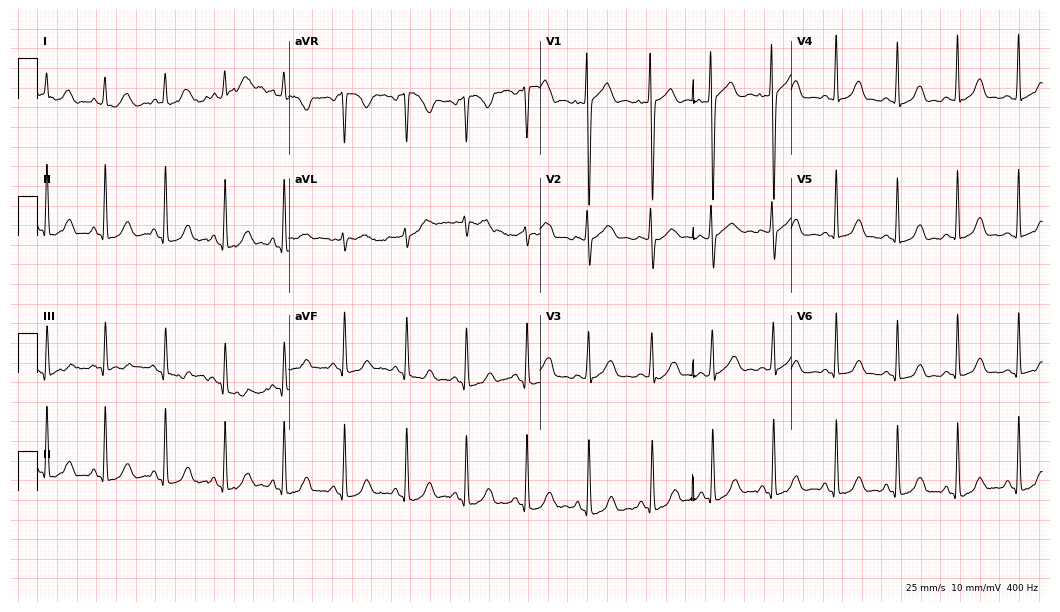
Standard 12-lead ECG recorded from a 26-year-old female patient. Read as a normal ECG.